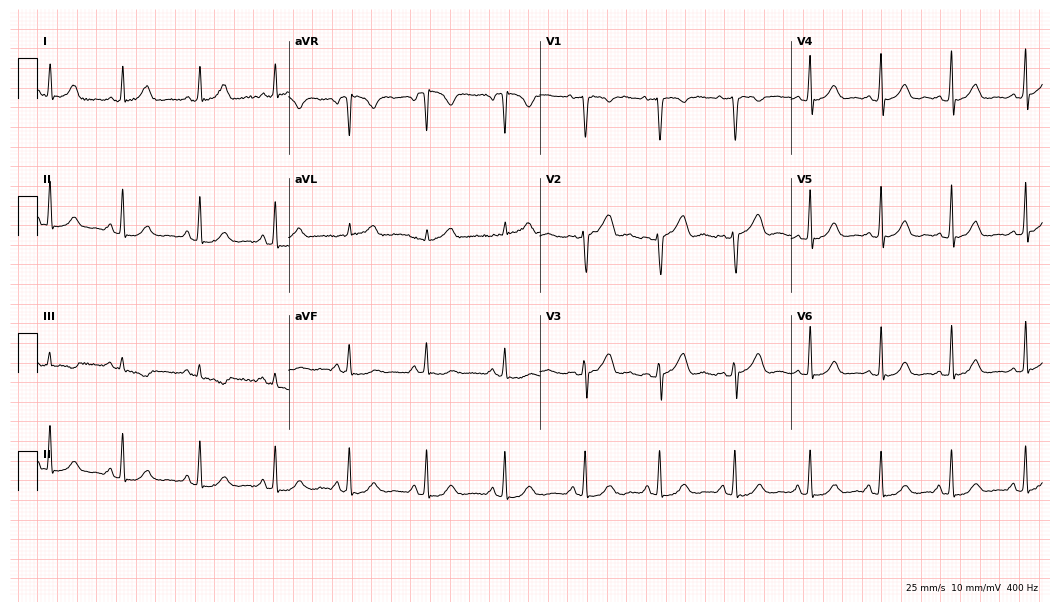
Standard 12-lead ECG recorded from a 27-year-old woman. Read as a normal ECG.